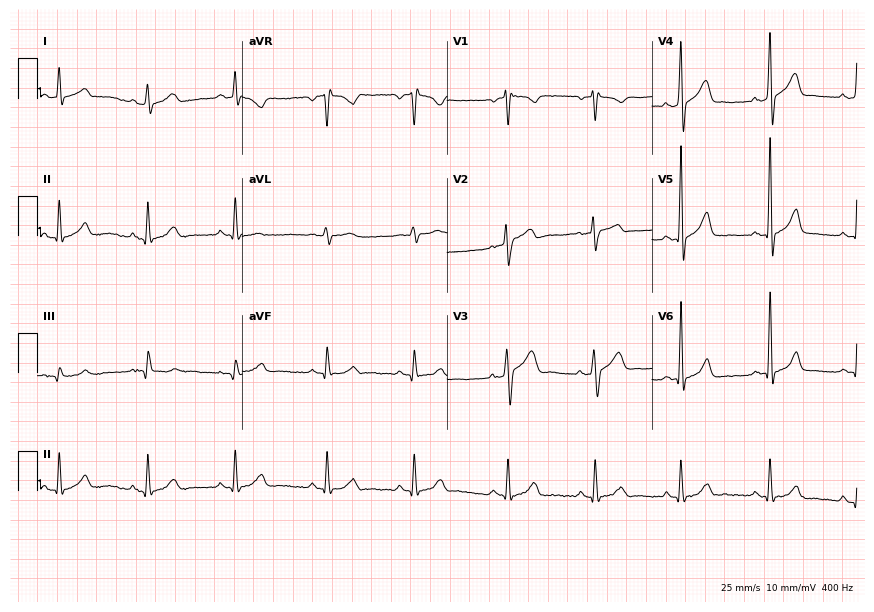
Electrocardiogram, a 46-year-old man. Overall reading on record: normal ECG.